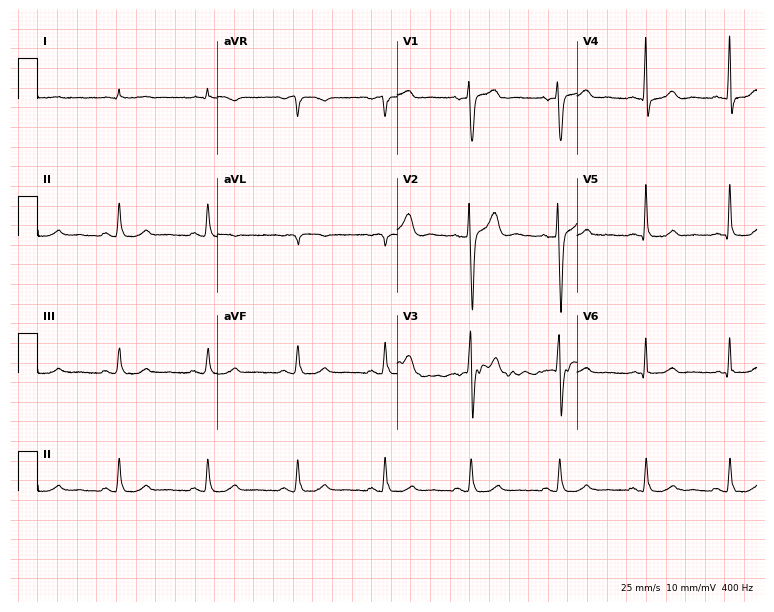
Electrocardiogram, a man, 51 years old. Of the six screened findings (first-degree AV block, right bundle branch block (RBBB), left bundle branch block (LBBB), sinus bradycardia, atrial fibrillation (AF), sinus tachycardia), none is recorded. Other findings, if any, are not listed.